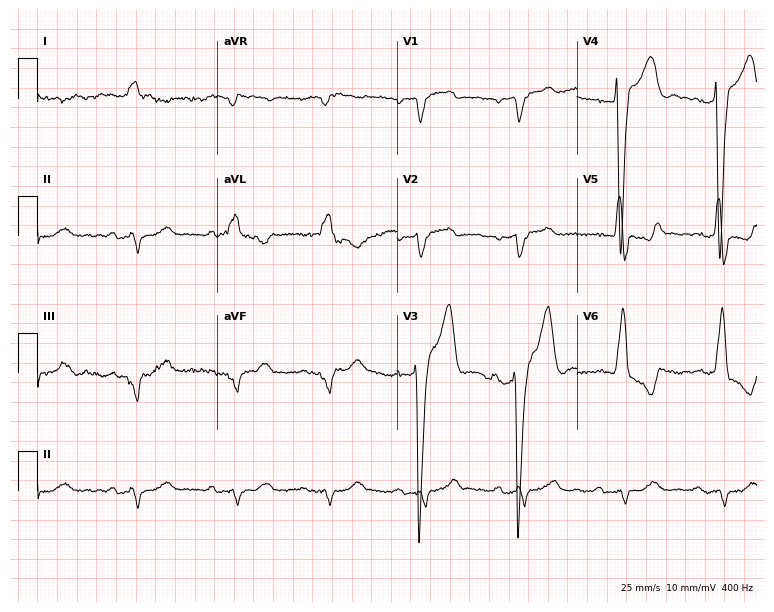
Standard 12-lead ECG recorded from a male, 83 years old (7.3-second recording at 400 Hz). The tracing shows left bundle branch block.